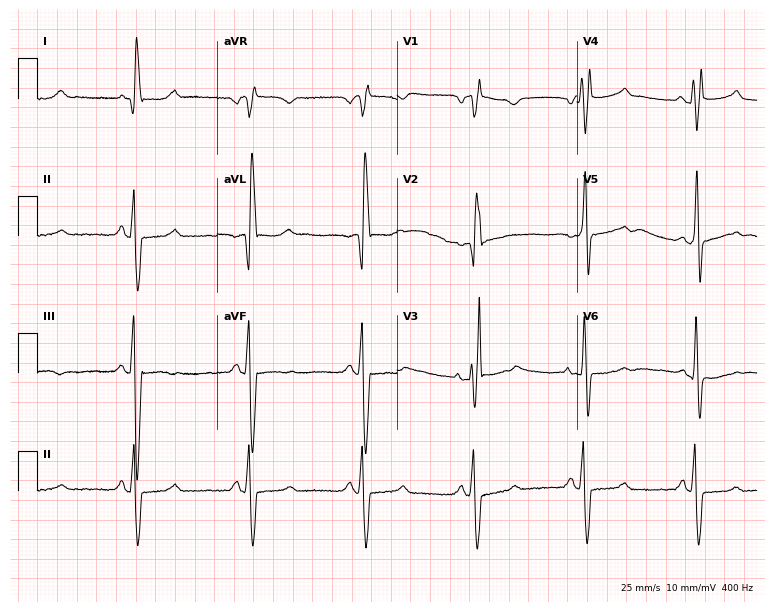
ECG (7.3-second recording at 400 Hz) — a woman, 80 years old. Findings include right bundle branch block.